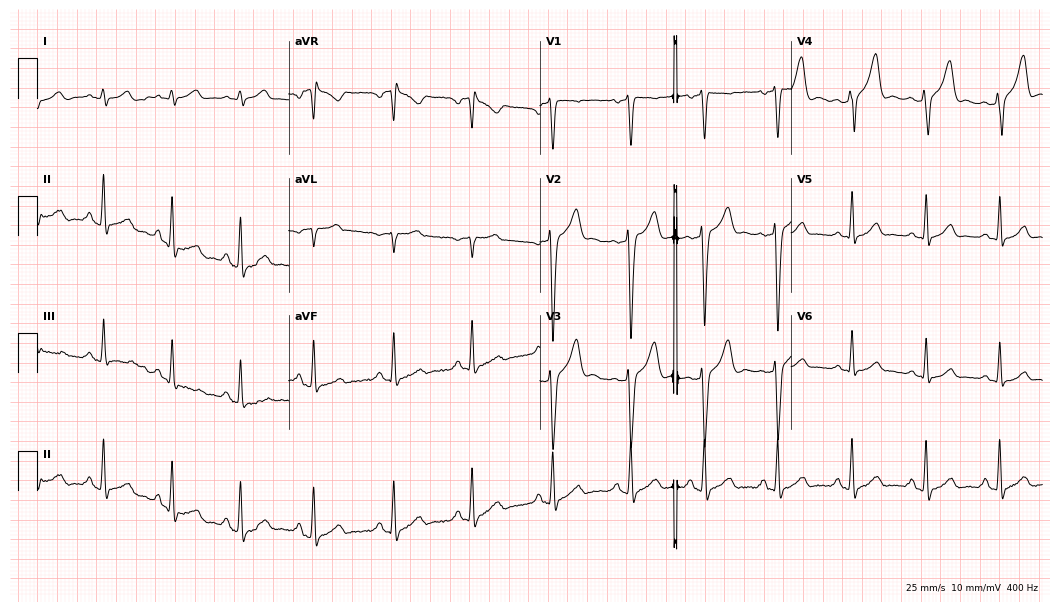
12-lead ECG from a female, 21 years old. Labelled as a normal ECG.